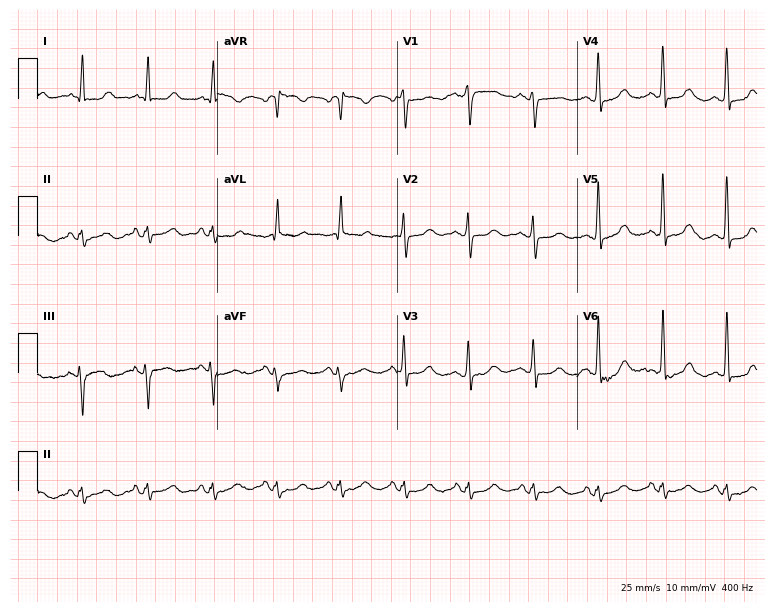
Resting 12-lead electrocardiogram (7.3-second recording at 400 Hz). Patient: a 70-year-old female. Read as a normal ECG.